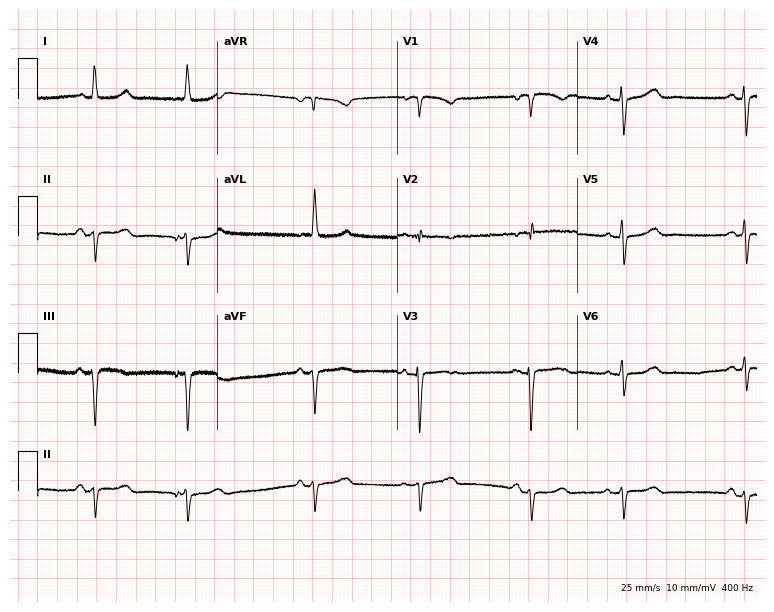
Electrocardiogram, a 72-year-old female patient. Of the six screened findings (first-degree AV block, right bundle branch block (RBBB), left bundle branch block (LBBB), sinus bradycardia, atrial fibrillation (AF), sinus tachycardia), none is recorded.